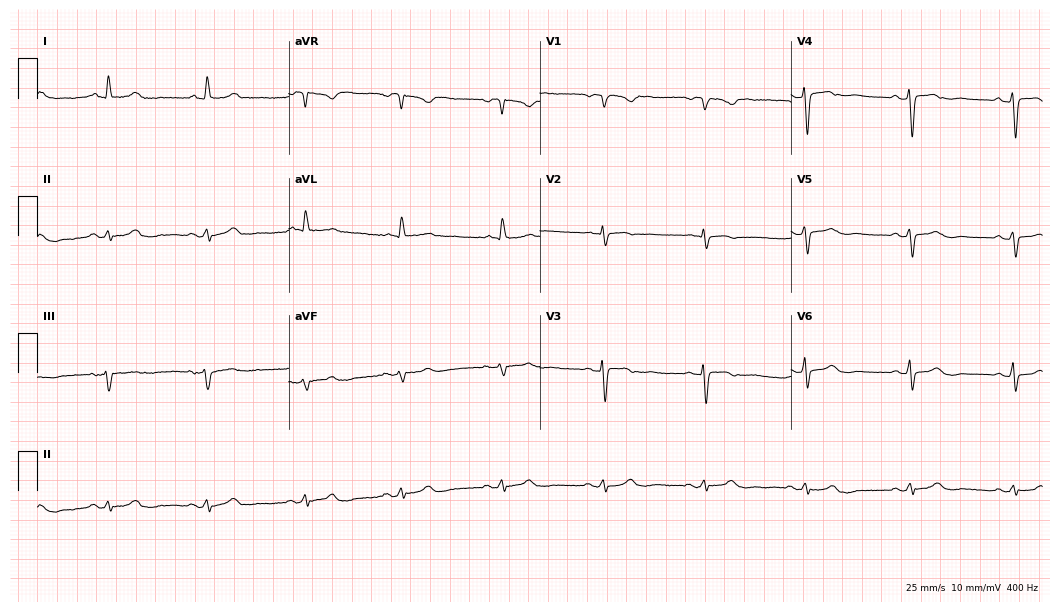
Standard 12-lead ECG recorded from a woman, 74 years old (10.2-second recording at 400 Hz). None of these six findings is recorded: first-degree AV block, right bundle branch block (RBBB), left bundle branch block (LBBB), sinus bradycardia, atrial fibrillation (AF), sinus tachycardia. Only these six findings were labelled.